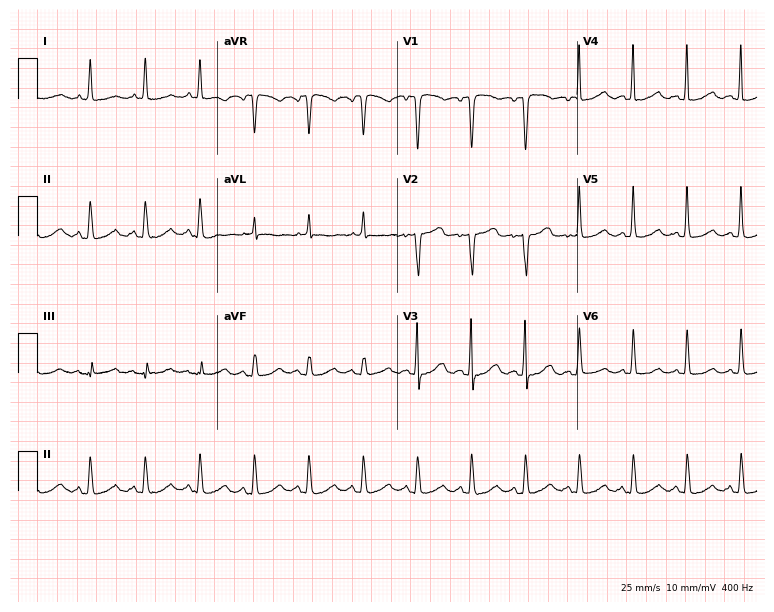
12-lead ECG from a 69-year-old woman. Findings include sinus tachycardia (a sinus rate of 100 beats per minute or more).